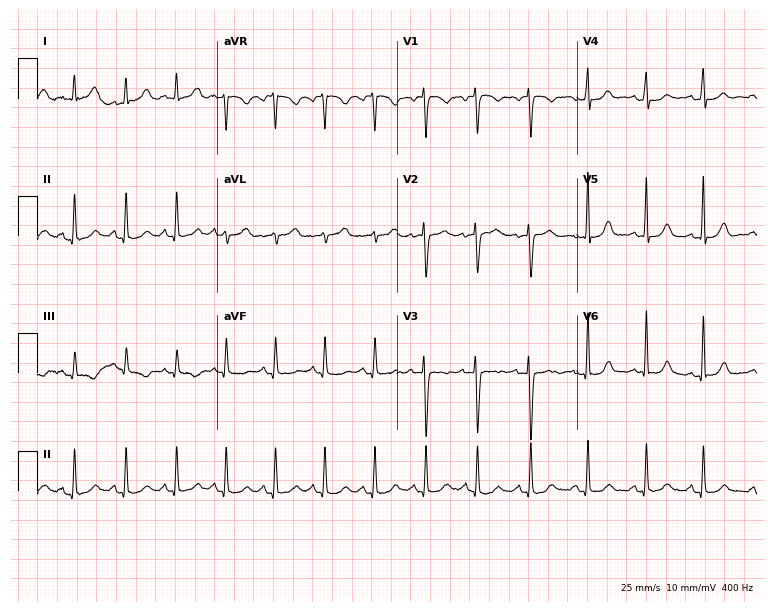
12-lead ECG from a female, 25 years old (7.3-second recording at 400 Hz). No first-degree AV block, right bundle branch block, left bundle branch block, sinus bradycardia, atrial fibrillation or sinus tachycardia recorded for this tracing. Findings outside these six are not listed.